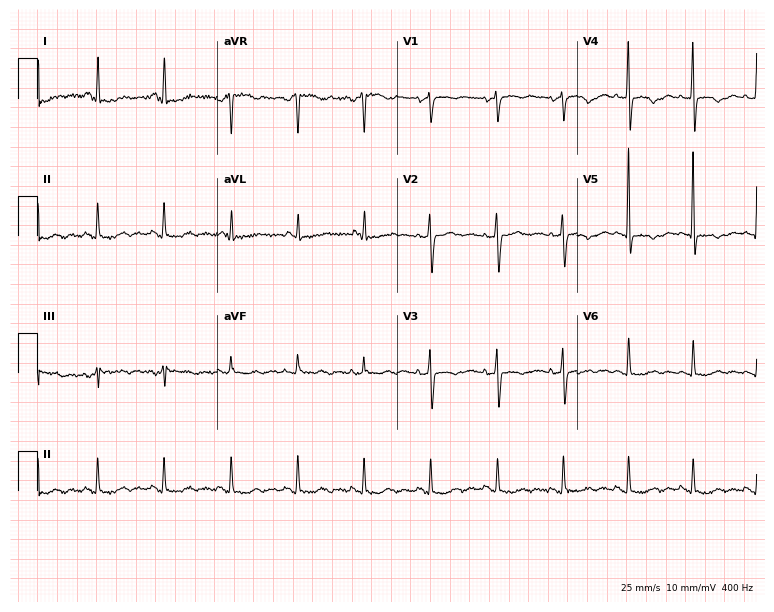
Electrocardiogram, a 64-year-old female. Of the six screened findings (first-degree AV block, right bundle branch block (RBBB), left bundle branch block (LBBB), sinus bradycardia, atrial fibrillation (AF), sinus tachycardia), none is recorded.